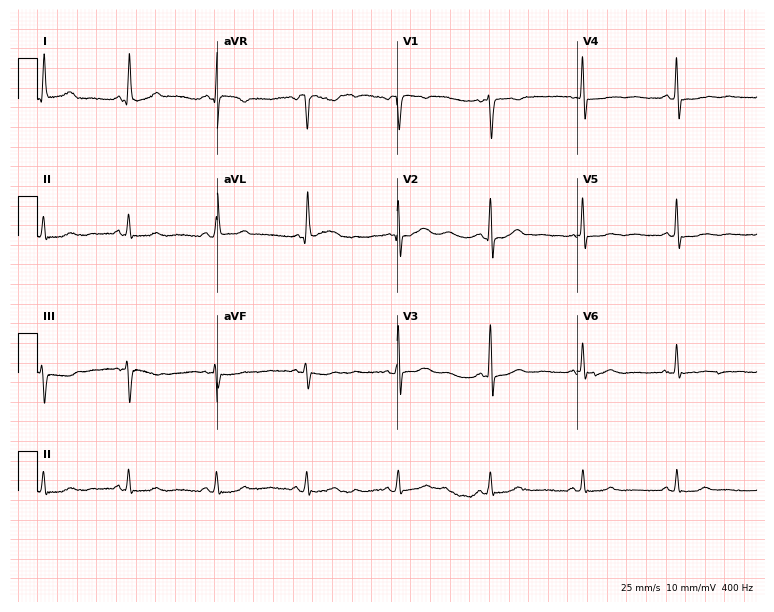
Standard 12-lead ECG recorded from a 73-year-old female. None of these six findings is recorded: first-degree AV block, right bundle branch block, left bundle branch block, sinus bradycardia, atrial fibrillation, sinus tachycardia. Findings outside these six are not listed.